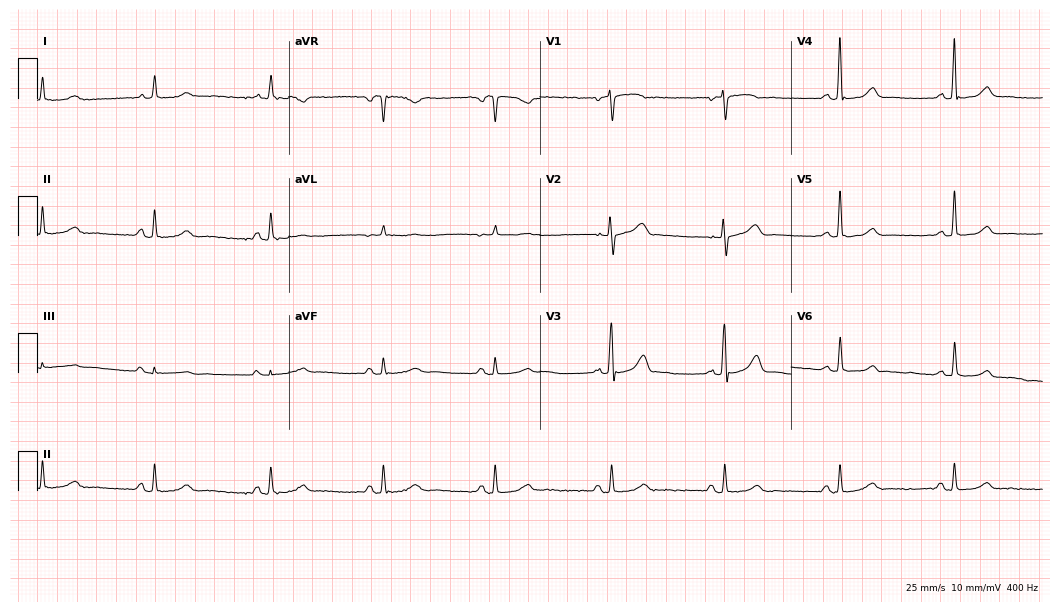
Electrocardiogram, a woman, 74 years old. Overall reading on record: normal ECG.